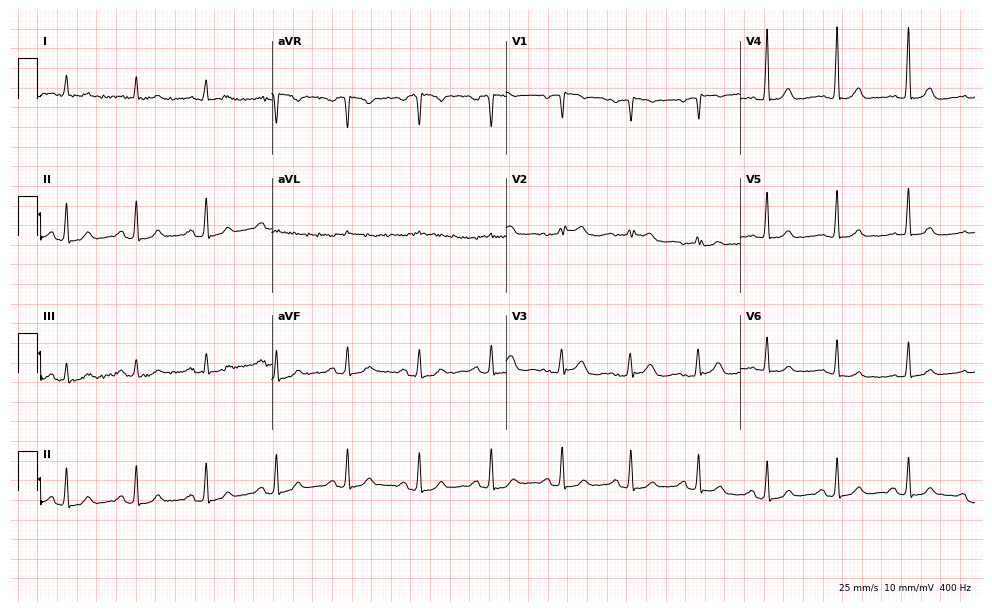
Standard 12-lead ECG recorded from a woman, 64 years old (9.6-second recording at 400 Hz). Read as a normal ECG.